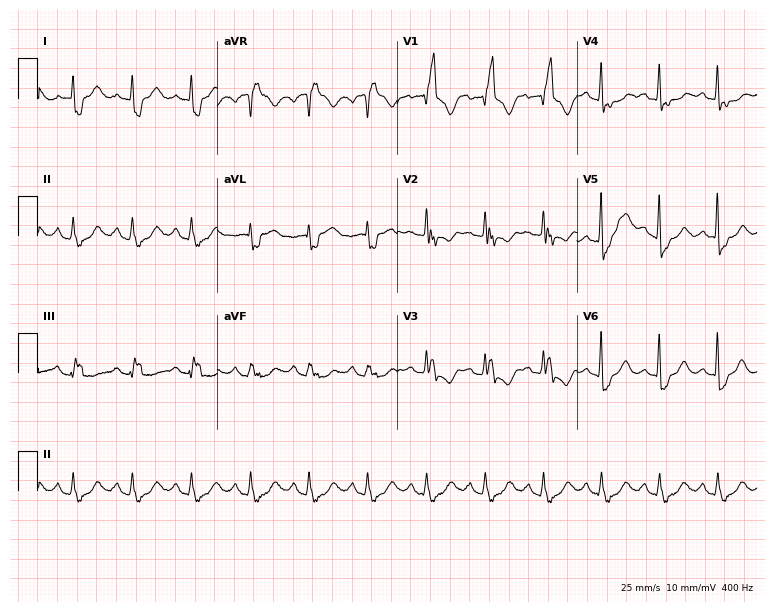
Electrocardiogram (7.3-second recording at 400 Hz), a female, 76 years old. Interpretation includes right bundle branch block, sinus tachycardia (a sinus rate of 100 beats per minute or more).